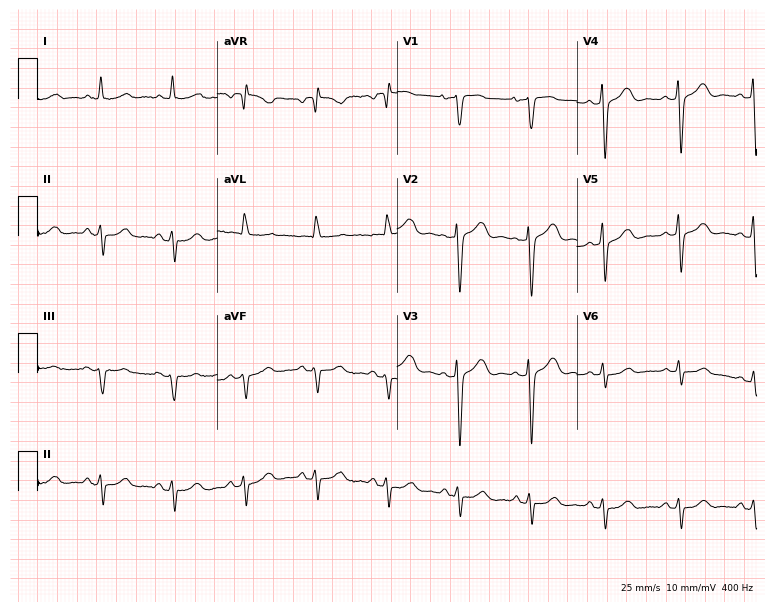
12-lead ECG from a woman, 70 years old (7.3-second recording at 400 Hz). No first-degree AV block, right bundle branch block, left bundle branch block, sinus bradycardia, atrial fibrillation or sinus tachycardia recorded for this tracing. Only these six findings were labelled.